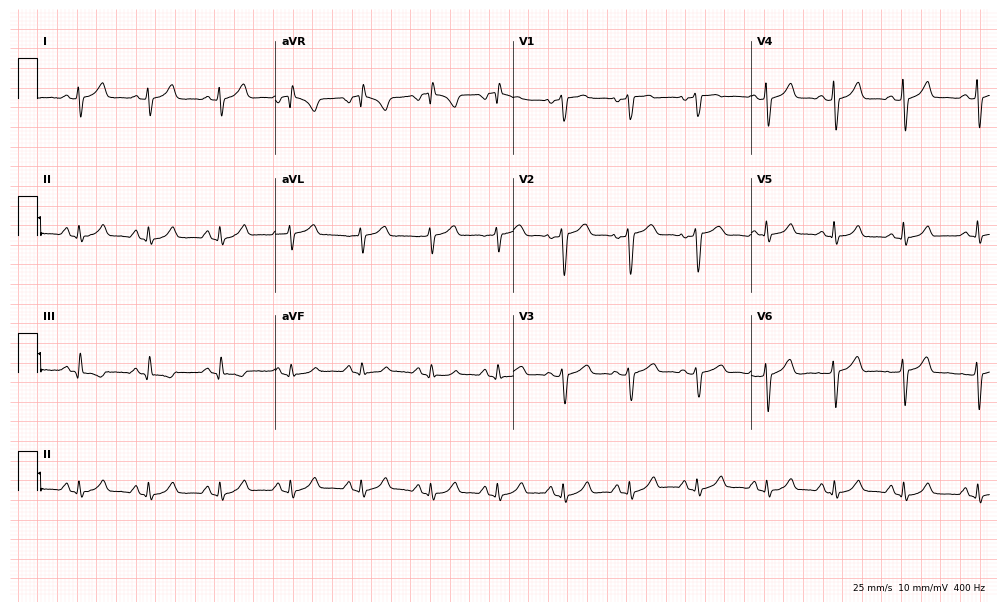
Standard 12-lead ECG recorded from a woman, 41 years old. Read as a normal ECG.